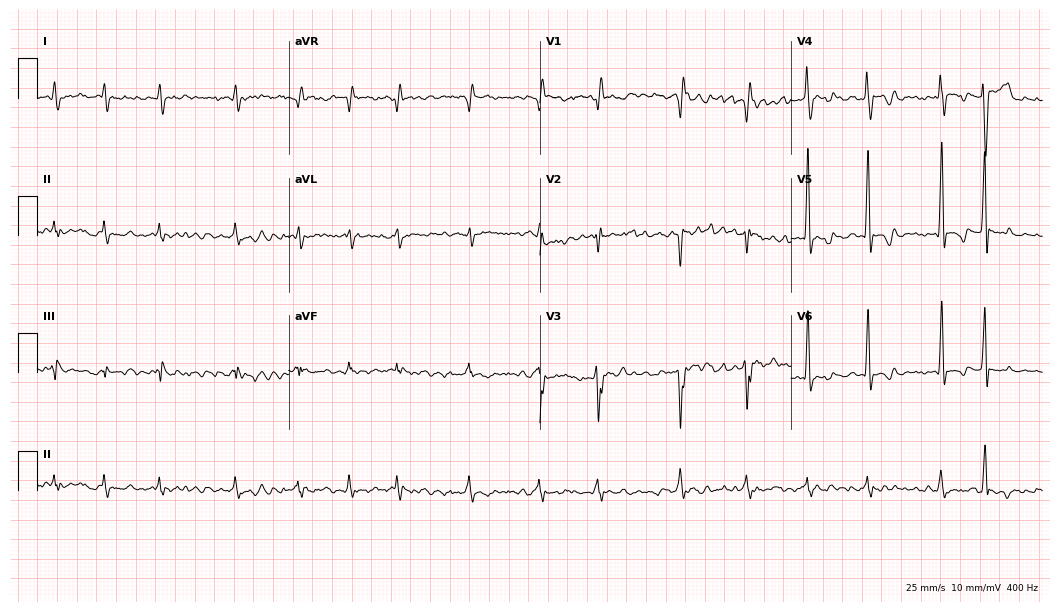
ECG (10.2-second recording at 400 Hz) — a 28-year-old male. Findings include atrial fibrillation.